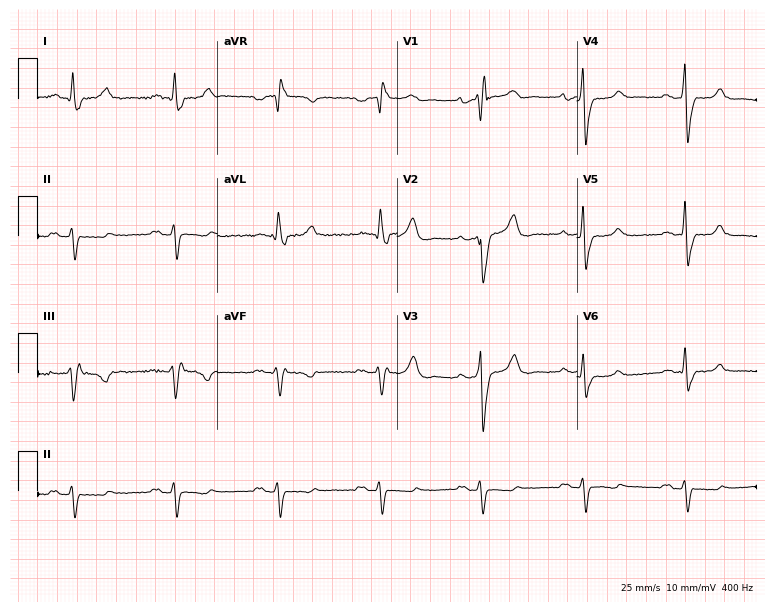
Electrocardiogram, a male patient, 74 years old. Interpretation includes first-degree AV block, right bundle branch block.